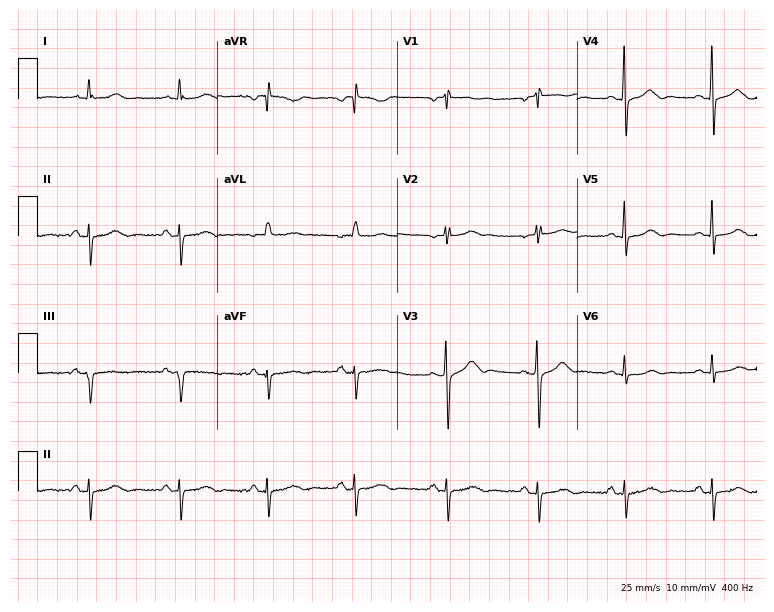
Resting 12-lead electrocardiogram (7.3-second recording at 400 Hz). Patient: a female, 84 years old. None of these six findings is recorded: first-degree AV block, right bundle branch block, left bundle branch block, sinus bradycardia, atrial fibrillation, sinus tachycardia. Other findings, if any, are not listed.